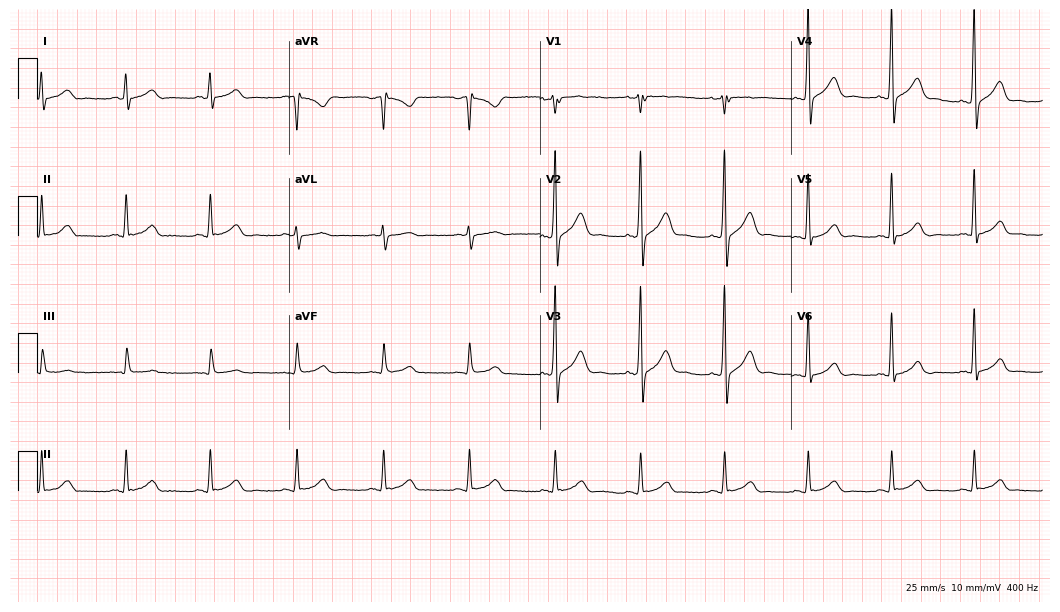
12-lead ECG (10.2-second recording at 400 Hz) from a 47-year-old male patient. Labelled as a normal ECG.